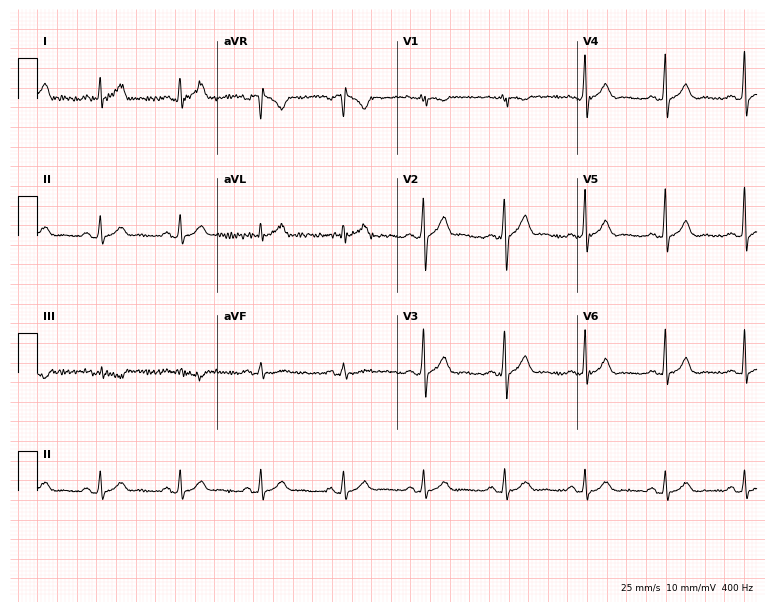
Resting 12-lead electrocardiogram. Patient: a male, 38 years old. Read as a normal ECG.